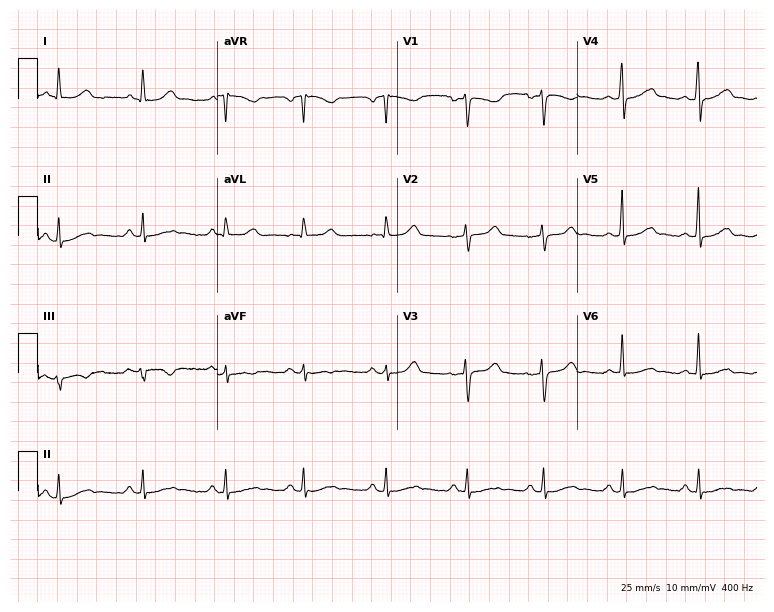
Electrocardiogram, a 34-year-old female patient. Overall reading on record: normal ECG.